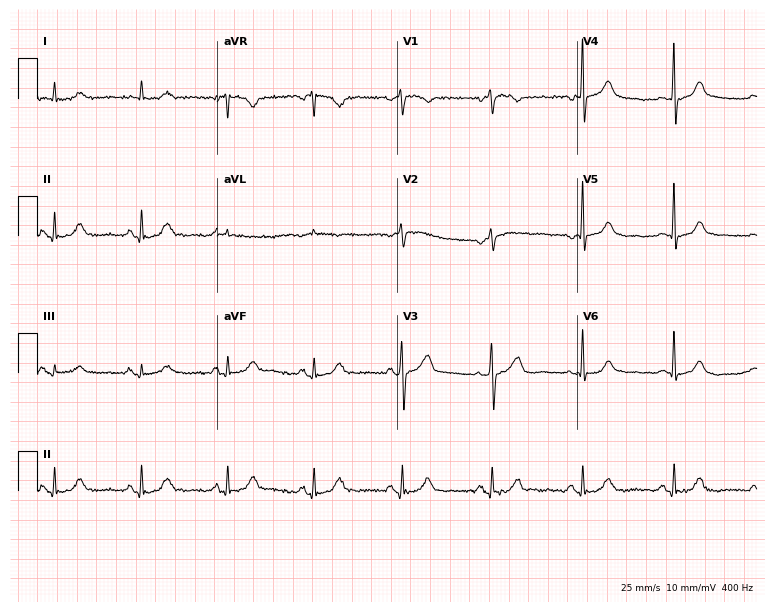
12-lead ECG from a man, 72 years old (7.3-second recording at 400 Hz). Recorded interpretation: within normal limits.